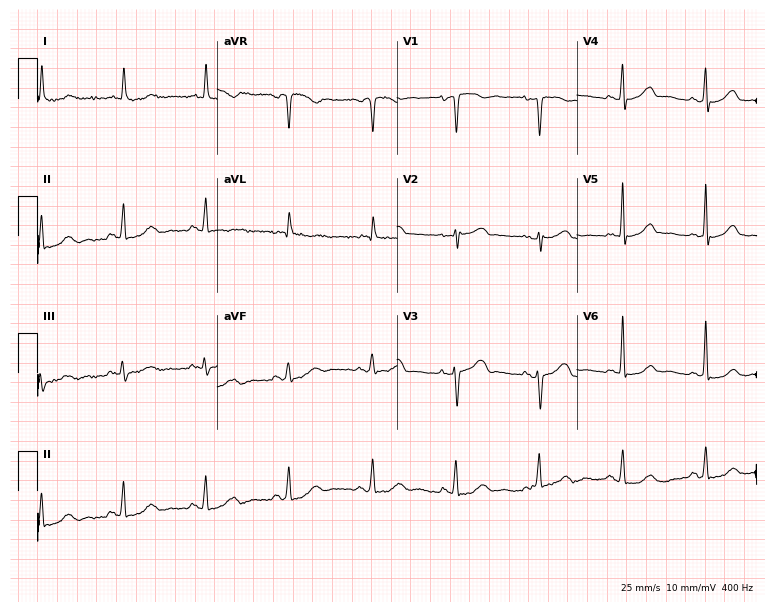
12-lead ECG from a female patient, 78 years old. No first-degree AV block, right bundle branch block (RBBB), left bundle branch block (LBBB), sinus bradycardia, atrial fibrillation (AF) or sinus tachycardia recorded for this tracing.